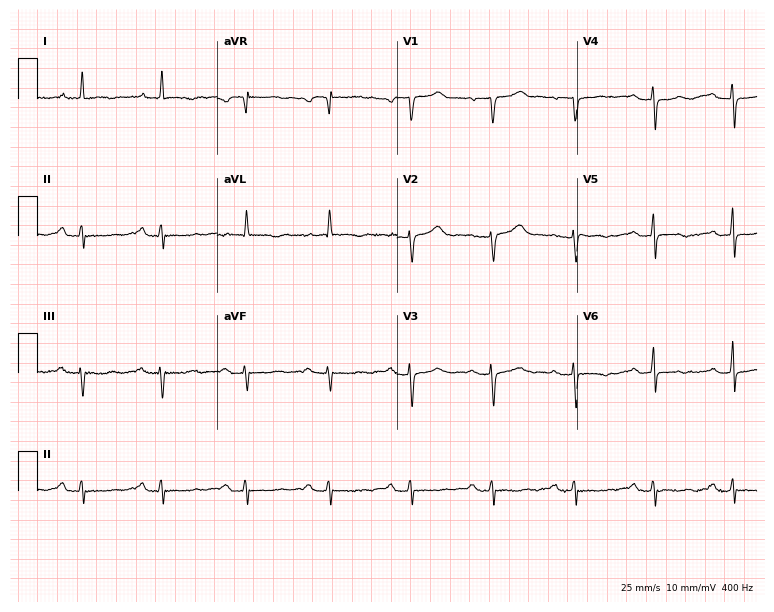
Electrocardiogram (7.3-second recording at 400 Hz), an 84-year-old female patient. Interpretation includes first-degree AV block.